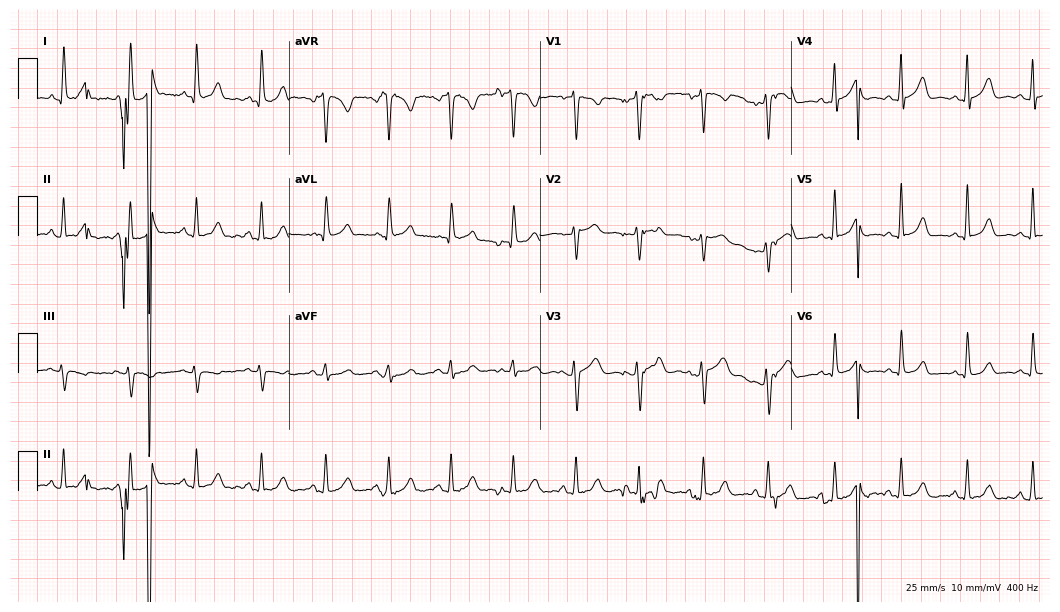
Electrocardiogram, a woman, 41 years old. Overall reading on record: normal ECG.